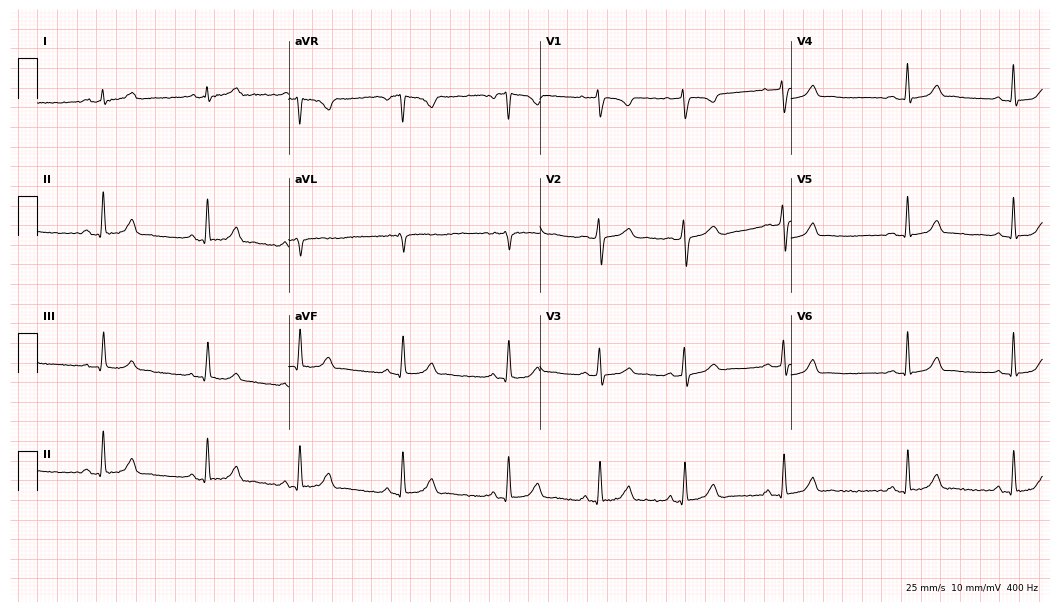
12-lead ECG (10.2-second recording at 400 Hz) from a female, 26 years old. Labelled as a normal ECG.